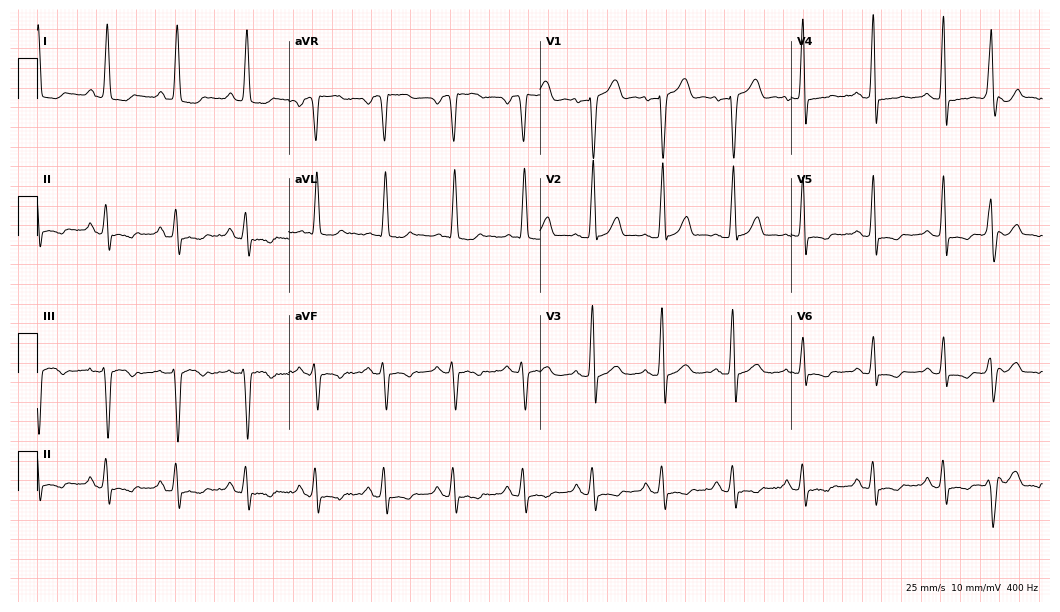
Electrocardiogram (10.2-second recording at 400 Hz), a 57-year-old female patient. Of the six screened findings (first-degree AV block, right bundle branch block, left bundle branch block, sinus bradycardia, atrial fibrillation, sinus tachycardia), none is recorded.